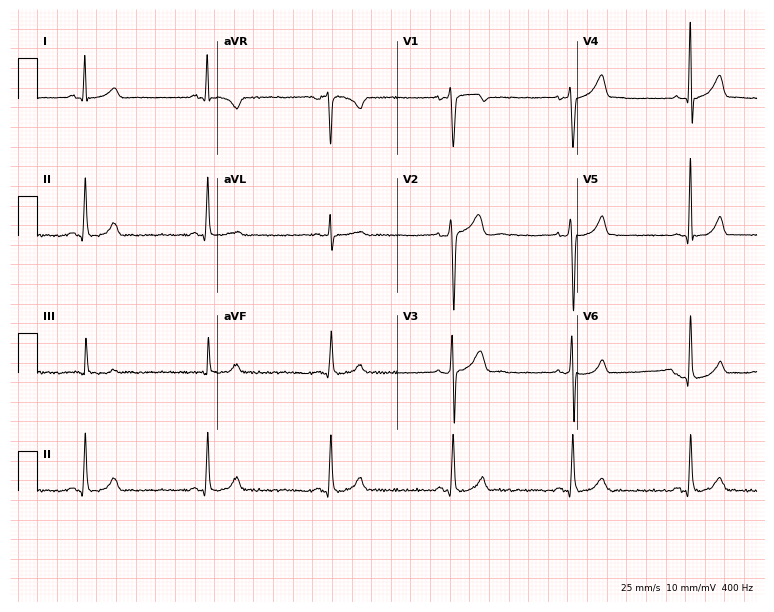
12-lead ECG from a 32-year-old male patient (7.3-second recording at 400 Hz). No first-degree AV block, right bundle branch block, left bundle branch block, sinus bradycardia, atrial fibrillation or sinus tachycardia recorded for this tracing. Findings outside these six are not listed.